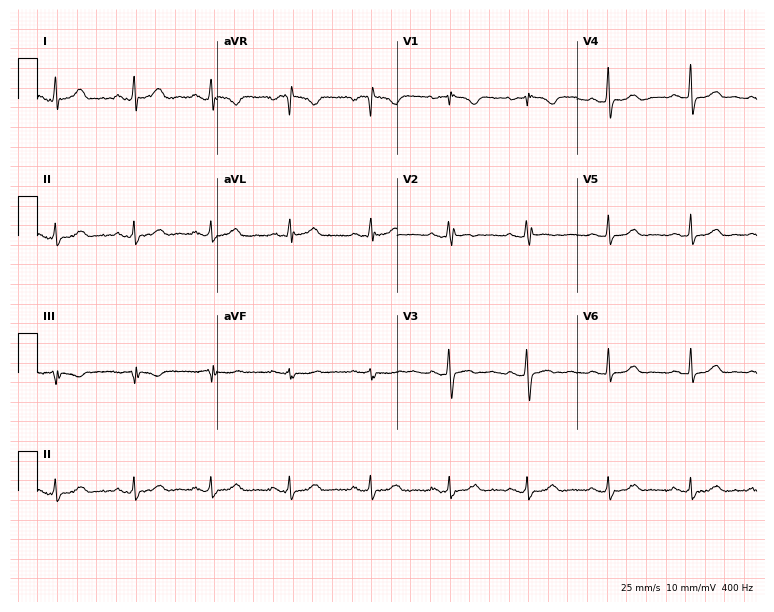
Standard 12-lead ECG recorded from a 28-year-old female patient (7.3-second recording at 400 Hz). None of these six findings is recorded: first-degree AV block, right bundle branch block, left bundle branch block, sinus bradycardia, atrial fibrillation, sinus tachycardia.